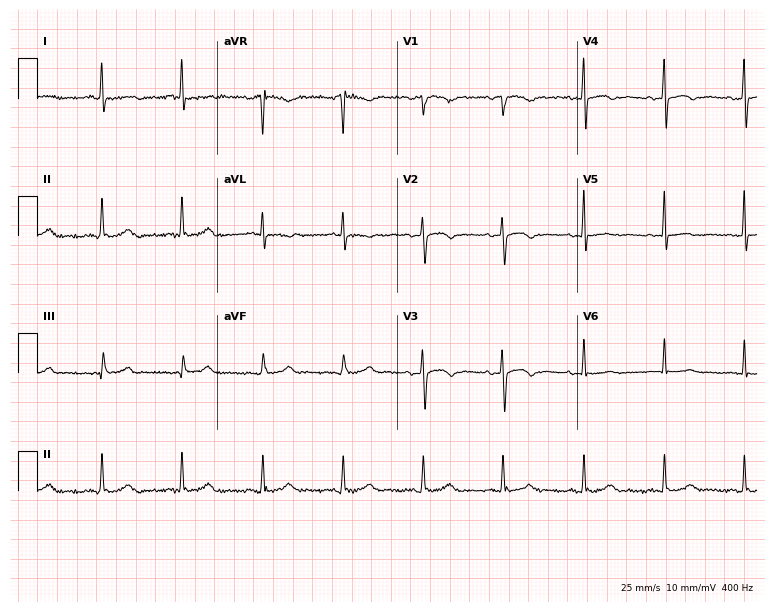
Electrocardiogram (7.3-second recording at 400 Hz), a female patient, 56 years old. Of the six screened findings (first-degree AV block, right bundle branch block (RBBB), left bundle branch block (LBBB), sinus bradycardia, atrial fibrillation (AF), sinus tachycardia), none is recorded. Findings outside these six are not listed.